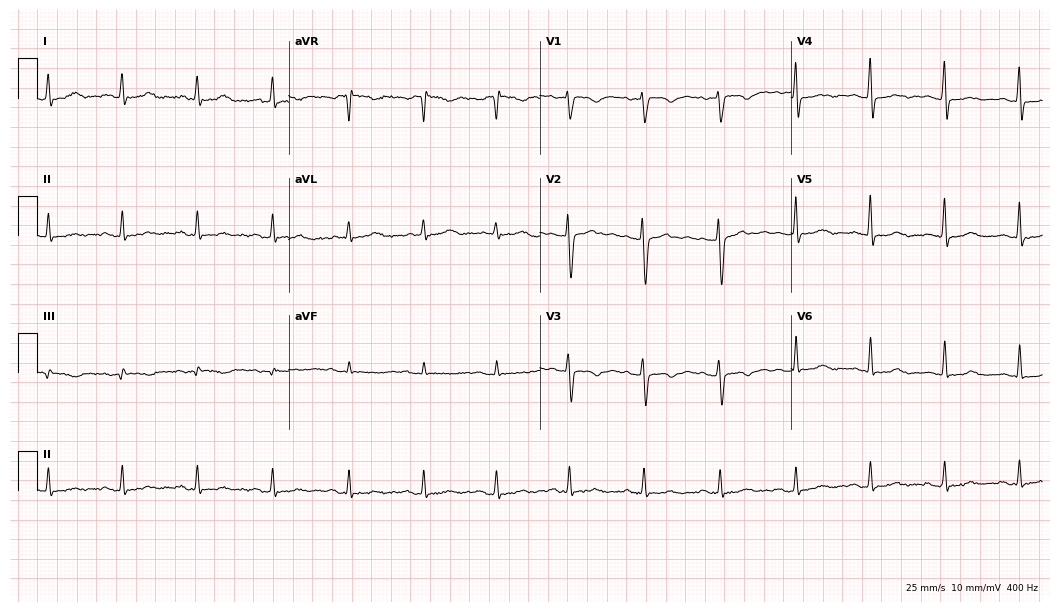
12-lead ECG from a woman, 58 years old (10.2-second recording at 400 Hz). No first-degree AV block, right bundle branch block (RBBB), left bundle branch block (LBBB), sinus bradycardia, atrial fibrillation (AF) or sinus tachycardia recorded for this tracing.